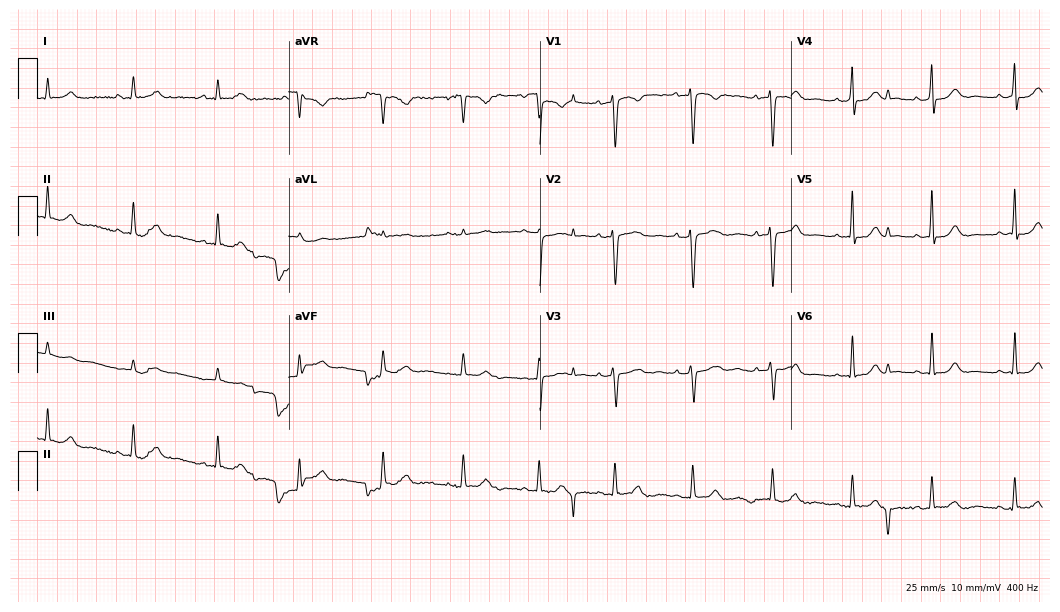
Electrocardiogram, a female, 27 years old. Overall reading on record: normal ECG.